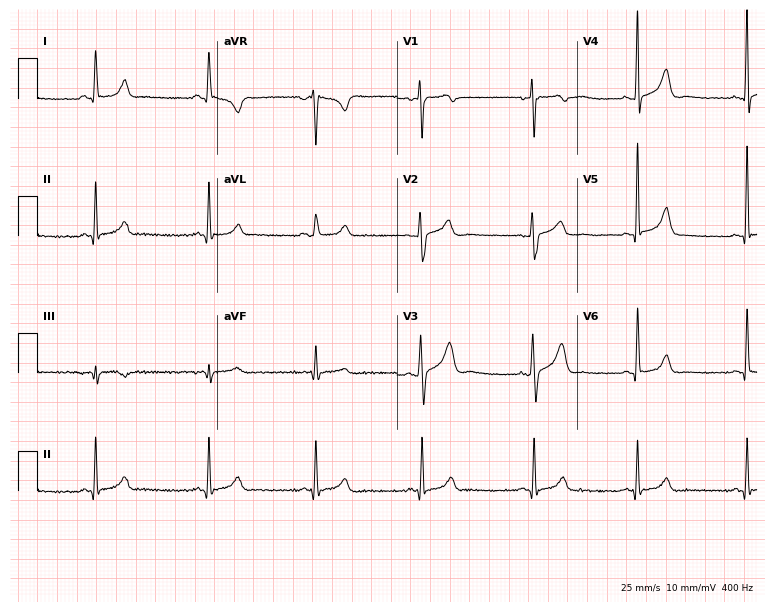
Resting 12-lead electrocardiogram (7.3-second recording at 400 Hz). Patient: a man, 44 years old. Read as a normal ECG.